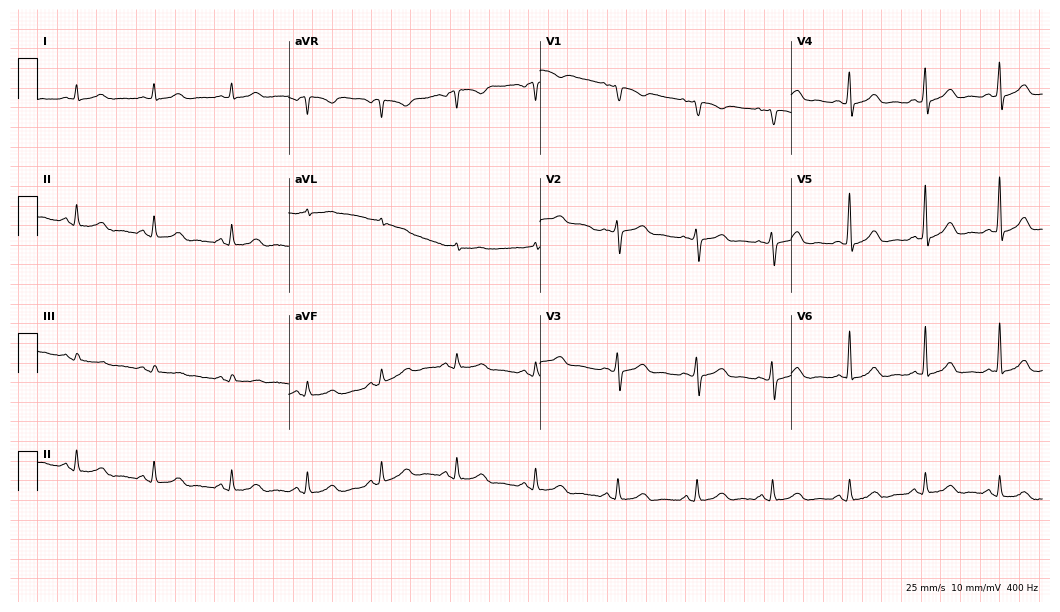
Electrocardiogram, a 51-year-old female. Overall reading on record: normal ECG.